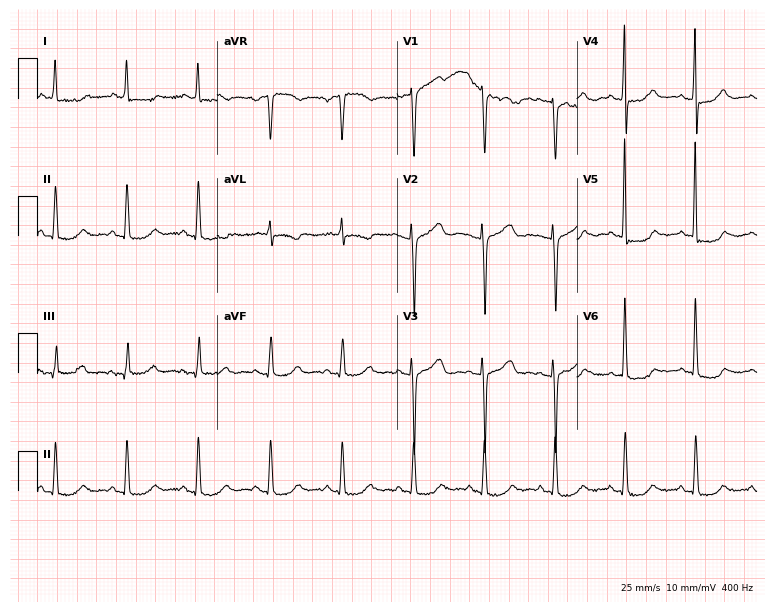
12-lead ECG from a female patient, 75 years old (7.3-second recording at 400 Hz). No first-degree AV block, right bundle branch block, left bundle branch block, sinus bradycardia, atrial fibrillation or sinus tachycardia recorded for this tracing. Only these six findings were labelled.